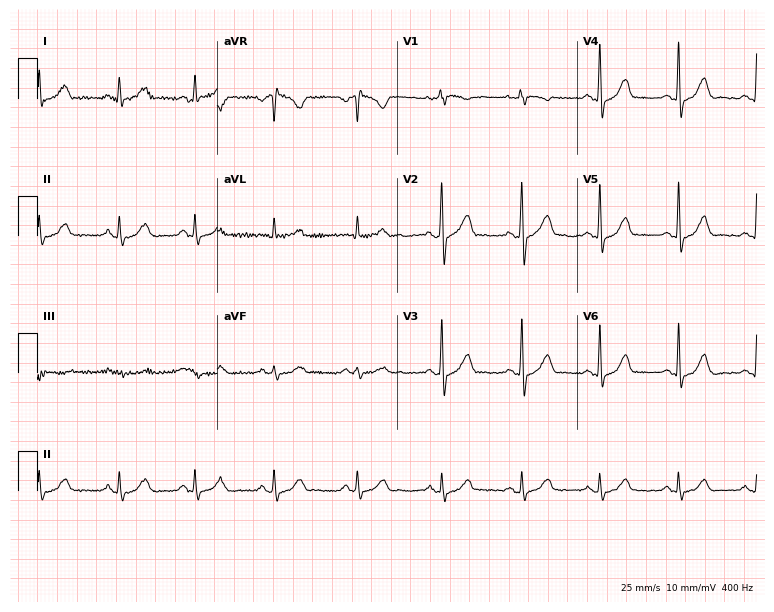
ECG (7.3-second recording at 400 Hz) — a female patient, 37 years old. Labelled as a normal ECG.